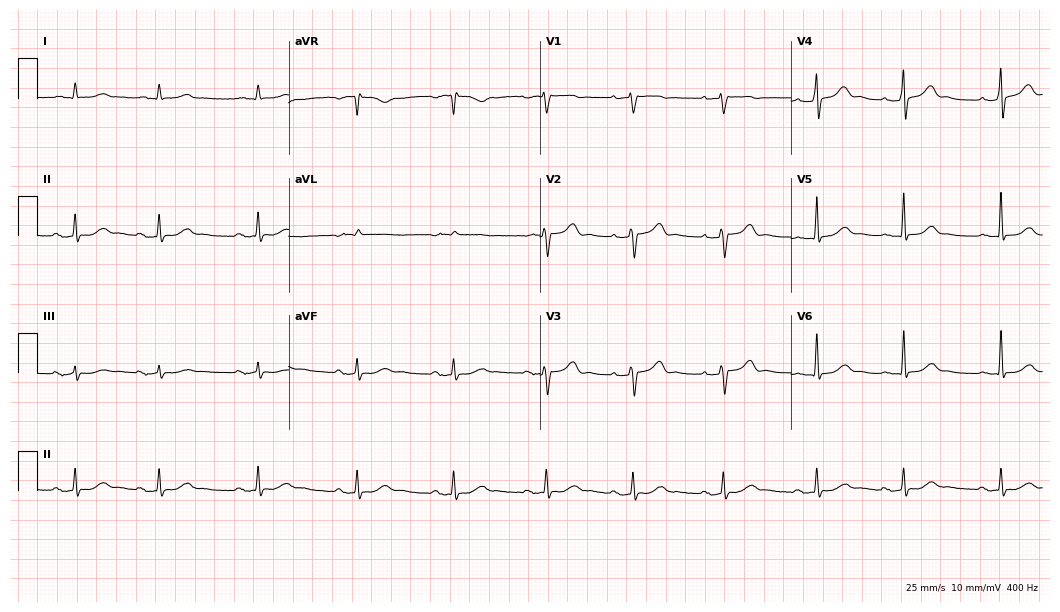
ECG (10.2-second recording at 400 Hz) — an 81-year-old male. Screened for six findings — first-degree AV block, right bundle branch block (RBBB), left bundle branch block (LBBB), sinus bradycardia, atrial fibrillation (AF), sinus tachycardia — none is recorded. Findings outside these six are not listed.